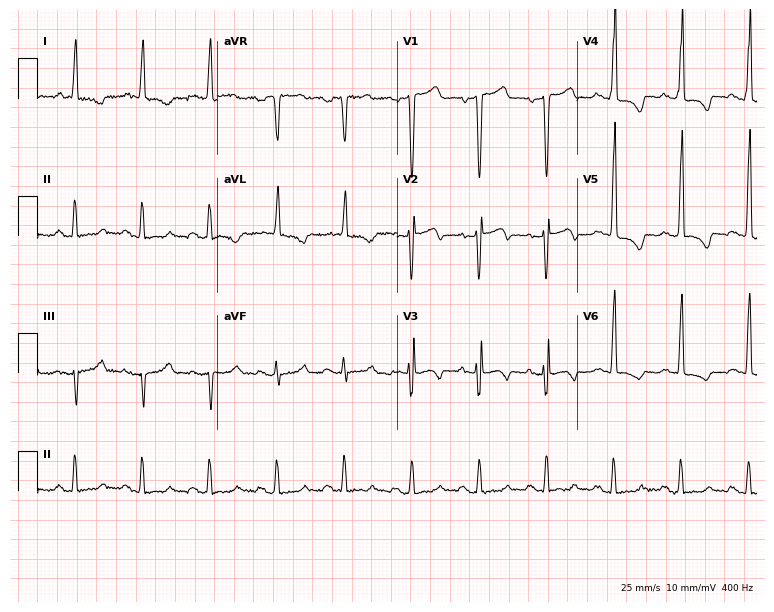
Resting 12-lead electrocardiogram (7.3-second recording at 400 Hz). Patient: a woman, 75 years old. None of these six findings is recorded: first-degree AV block, right bundle branch block (RBBB), left bundle branch block (LBBB), sinus bradycardia, atrial fibrillation (AF), sinus tachycardia.